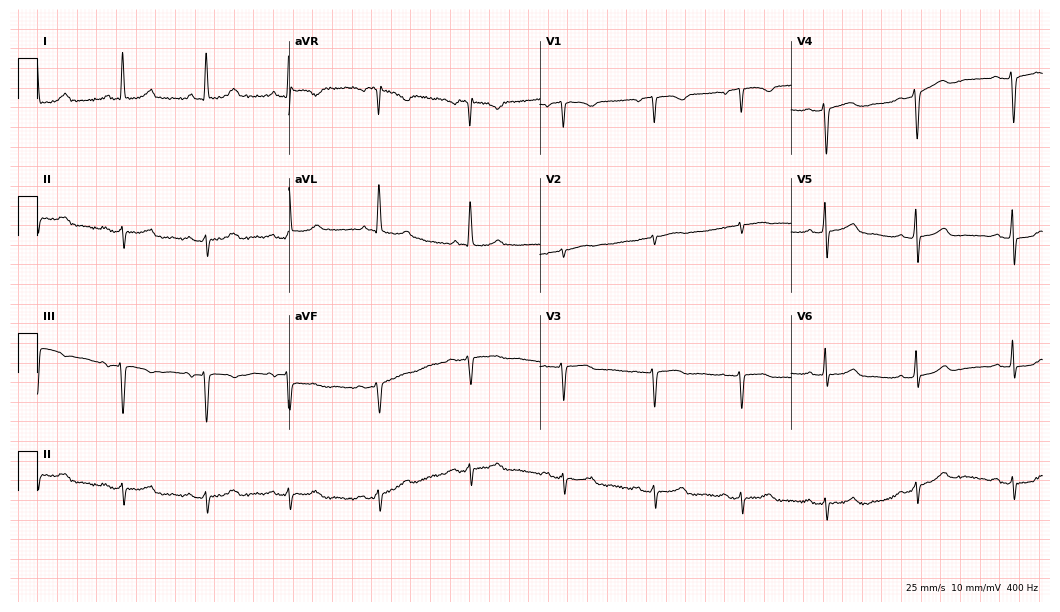
Standard 12-lead ECG recorded from a woman, 72 years old (10.2-second recording at 400 Hz). None of these six findings is recorded: first-degree AV block, right bundle branch block, left bundle branch block, sinus bradycardia, atrial fibrillation, sinus tachycardia. Only these six findings were labelled.